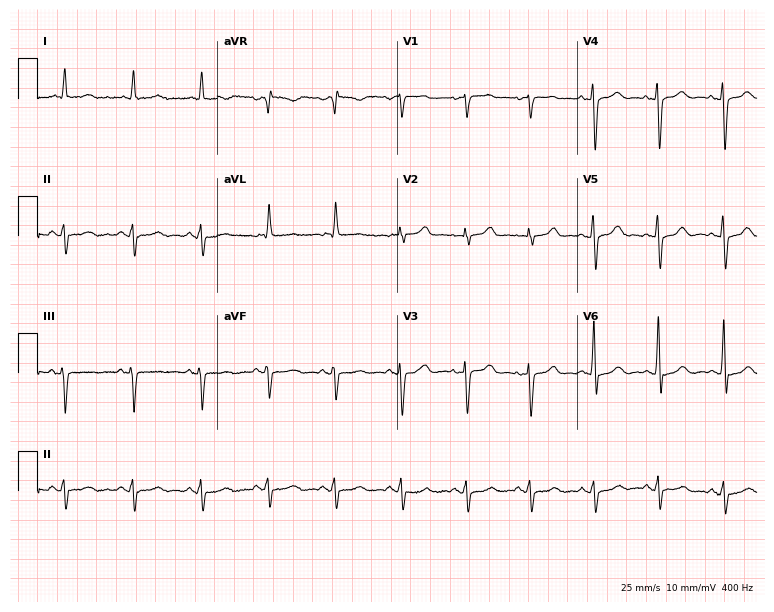
12-lead ECG from a woman, 64 years old (7.3-second recording at 400 Hz). No first-degree AV block, right bundle branch block (RBBB), left bundle branch block (LBBB), sinus bradycardia, atrial fibrillation (AF) or sinus tachycardia recorded for this tracing. Only these six findings were labelled.